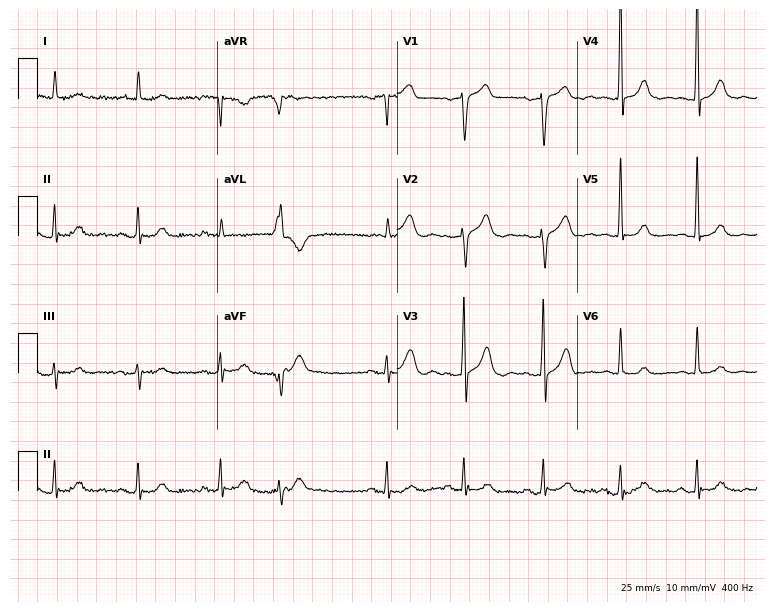
Standard 12-lead ECG recorded from a 77-year-old man. None of these six findings is recorded: first-degree AV block, right bundle branch block (RBBB), left bundle branch block (LBBB), sinus bradycardia, atrial fibrillation (AF), sinus tachycardia. Findings outside these six are not listed.